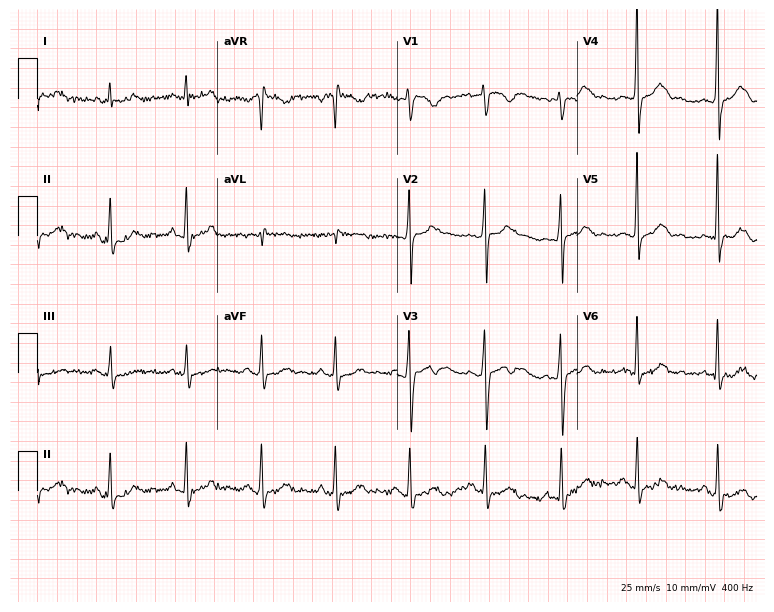
Resting 12-lead electrocardiogram. Patient: a 34-year-old man. None of these six findings is recorded: first-degree AV block, right bundle branch block, left bundle branch block, sinus bradycardia, atrial fibrillation, sinus tachycardia.